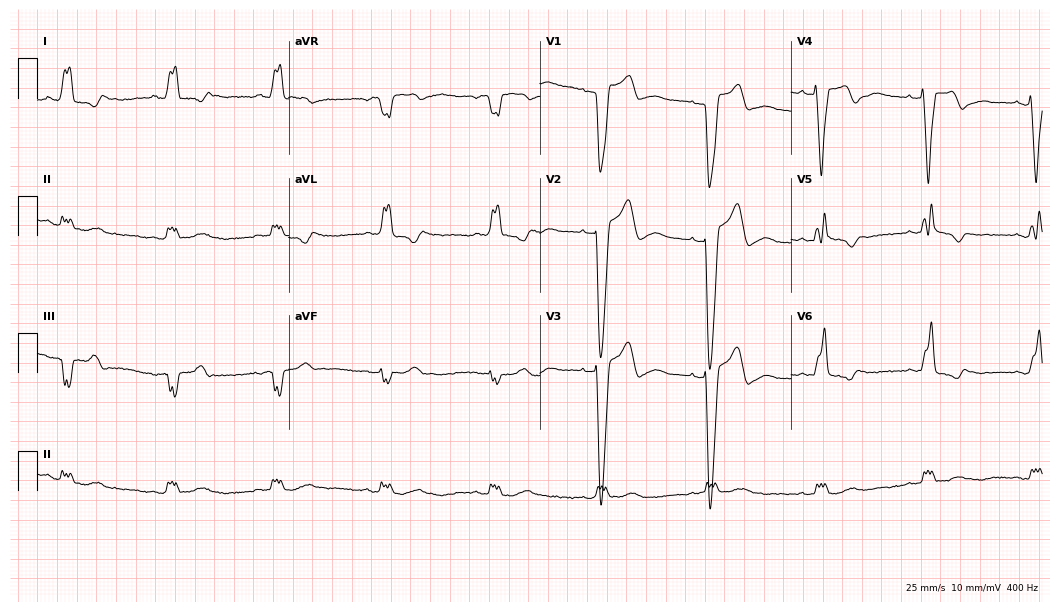
12-lead ECG from a 54-year-old man (10.2-second recording at 400 Hz). Shows left bundle branch block.